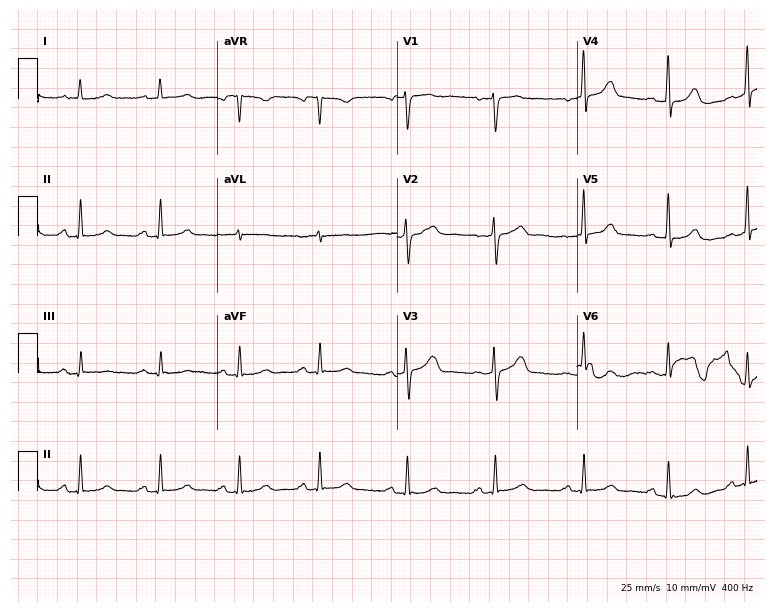
12-lead ECG from a female, 36 years old. Labelled as a normal ECG.